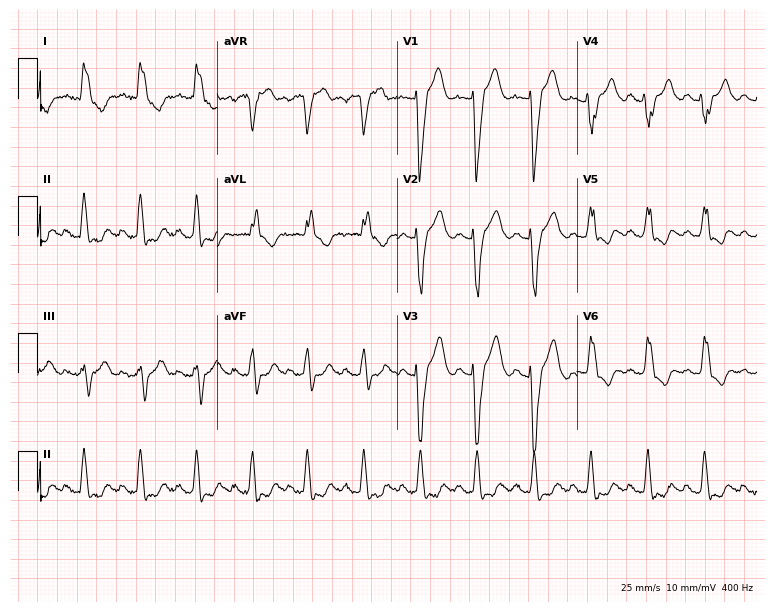
12-lead ECG from a female, 61 years old. Findings include left bundle branch block, sinus tachycardia (a sinus rate of 100 beats per minute or more).